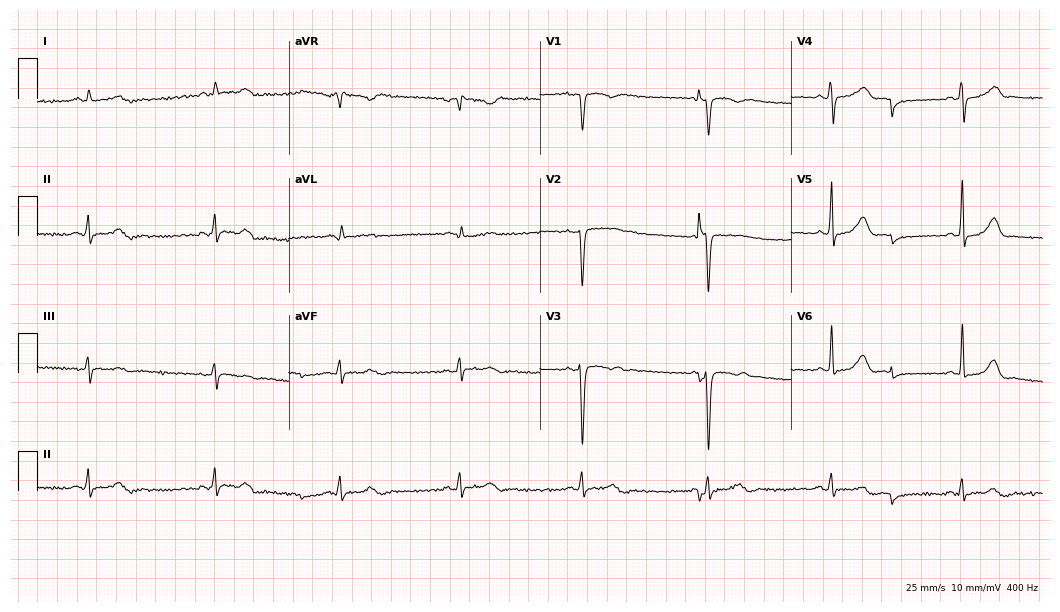
Electrocardiogram, a 43-year-old female. Interpretation includes sinus bradycardia (a sinus rate of 50 beats per minute or less).